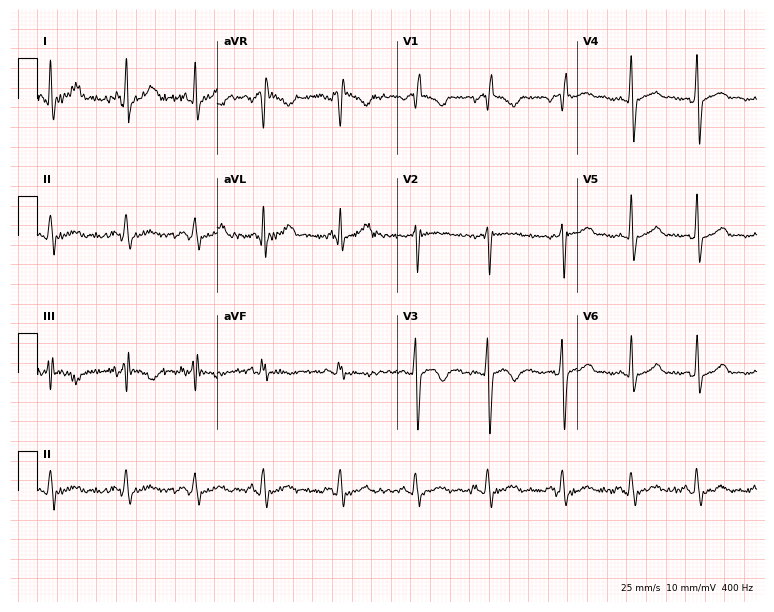
ECG (7.3-second recording at 400 Hz) — a 20-year-old female. Labelled as a normal ECG.